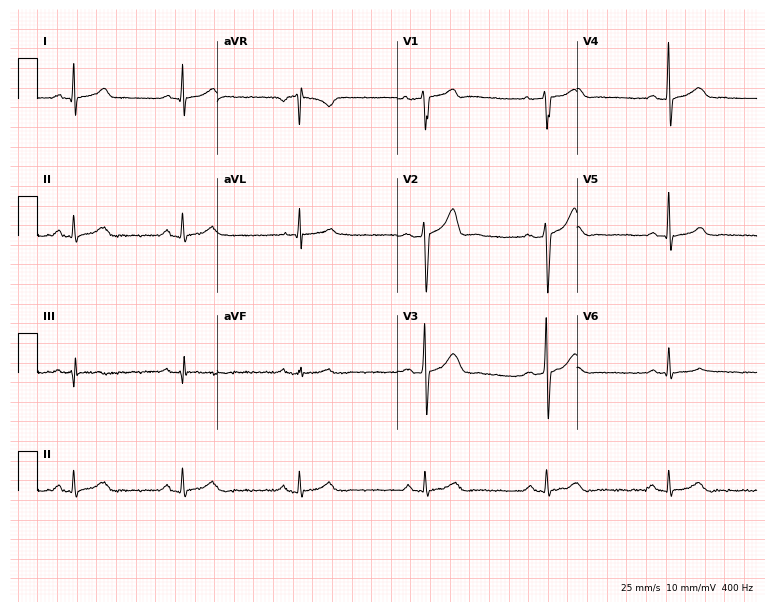
12-lead ECG from a 43-year-old male patient. Screened for six findings — first-degree AV block, right bundle branch block, left bundle branch block, sinus bradycardia, atrial fibrillation, sinus tachycardia — none is recorded. Findings outside these six are not listed.